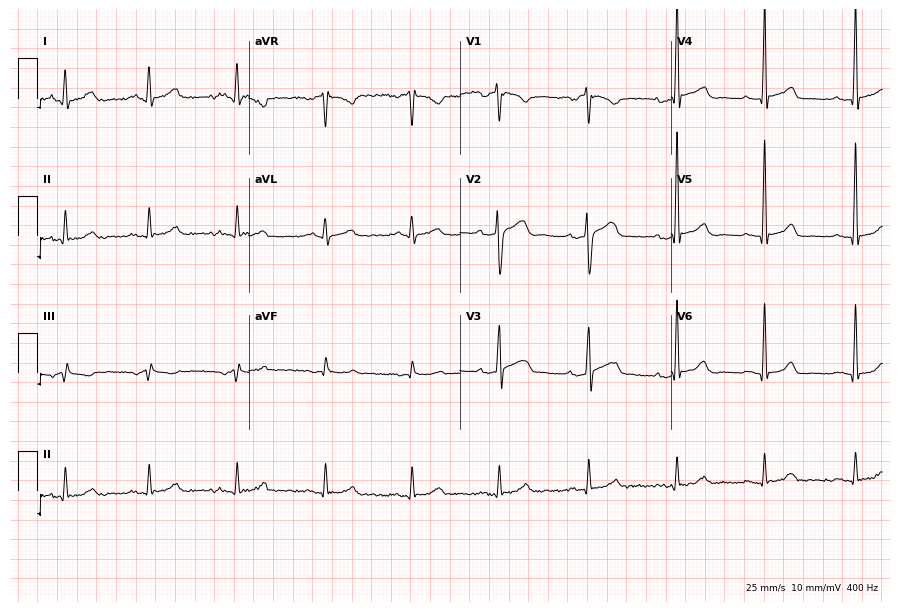
ECG (8.6-second recording at 400 Hz) — a 42-year-old male patient. Labelled as a normal ECG.